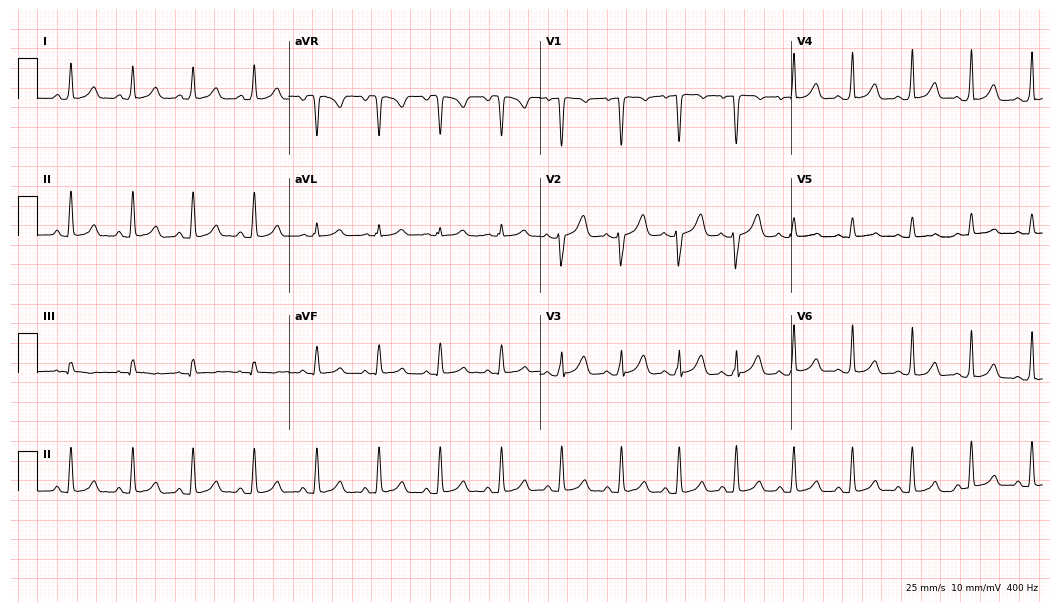
12-lead ECG from a female patient, 38 years old. Labelled as a normal ECG.